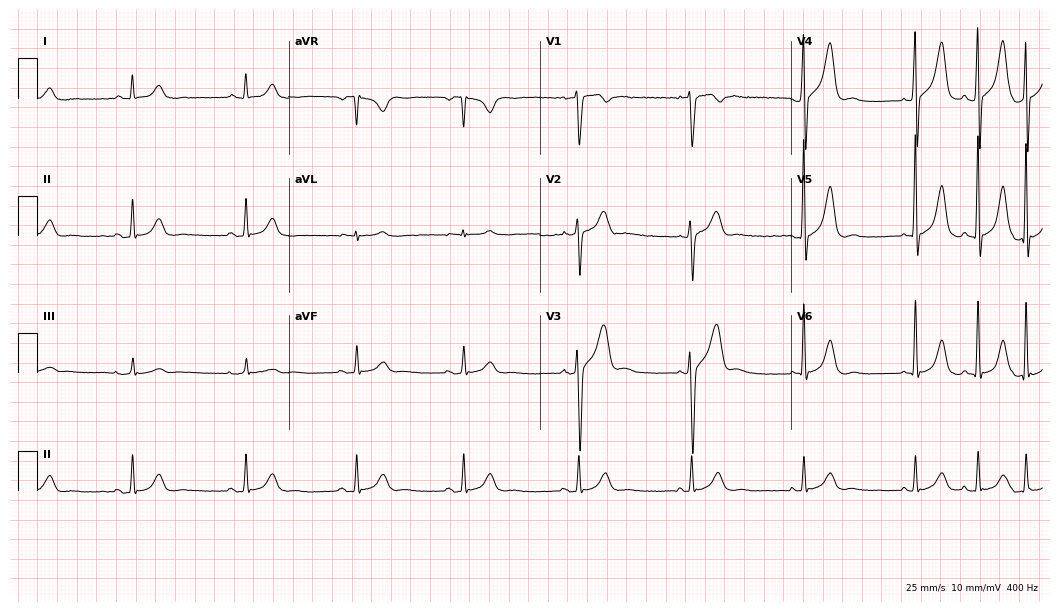
Electrocardiogram (10.2-second recording at 400 Hz), a 57-year-old female patient. Of the six screened findings (first-degree AV block, right bundle branch block, left bundle branch block, sinus bradycardia, atrial fibrillation, sinus tachycardia), none is recorded. Only these six findings were labelled.